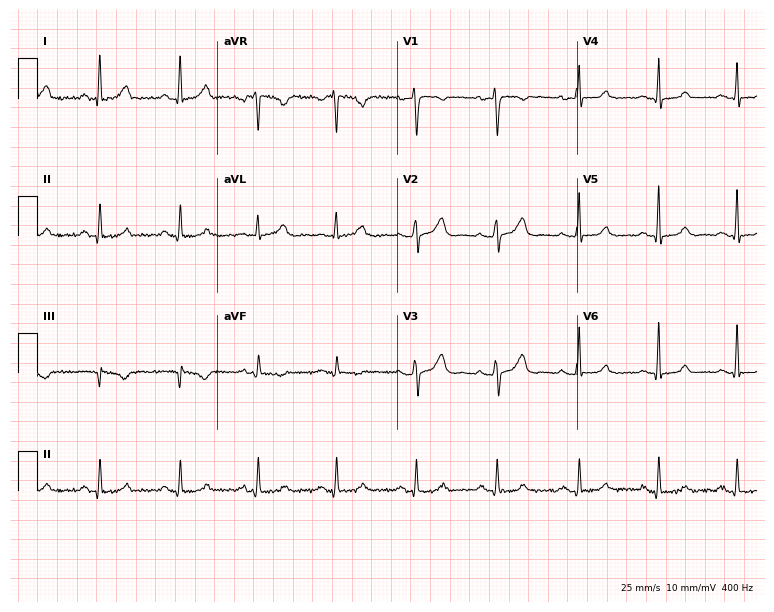
Electrocardiogram (7.3-second recording at 400 Hz), a female, 49 years old. Overall reading on record: normal ECG.